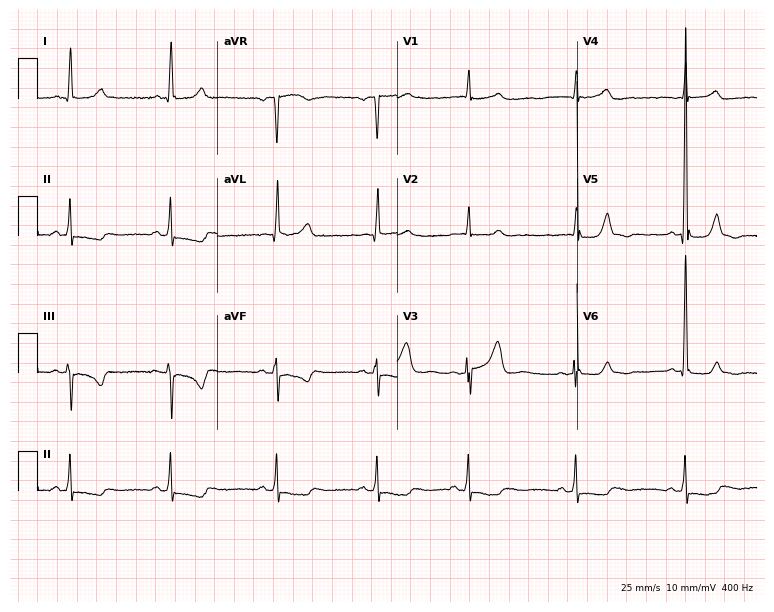
Standard 12-lead ECG recorded from a male patient, 49 years old. None of these six findings is recorded: first-degree AV block, right bundle branch block, left bundle branch block, sinus bradycardia, atrial fibrillation, sinus tachycardia.